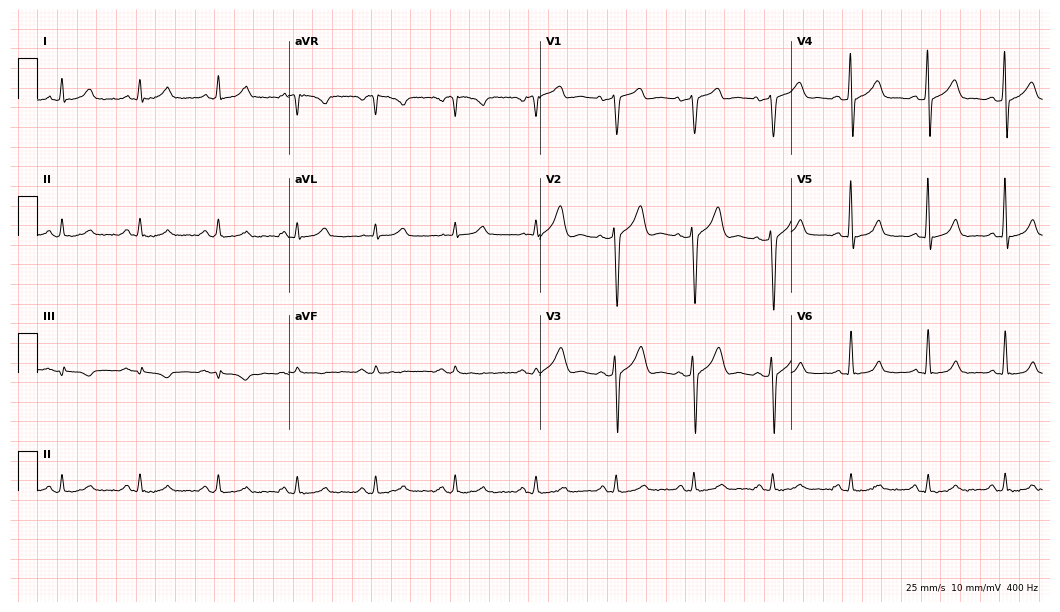
ECG — a man, 50 years old. Labelled as a normal ECG.